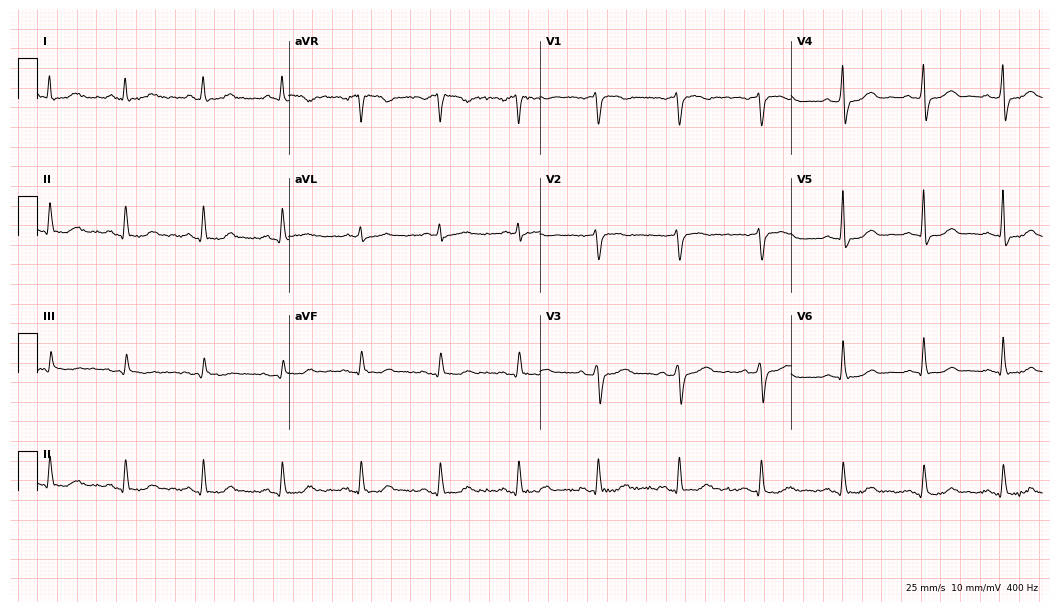
ECG (10.2-second recording at 400 Hz) — a 52-year-old female patient. Screened for six findings — first-degree AV block, right bundle branch block (RBBB), left bundle branch block (LBBB), sinus bradycardia, atrial fibrillation (AF), sinus tachycardia — none is recorded.